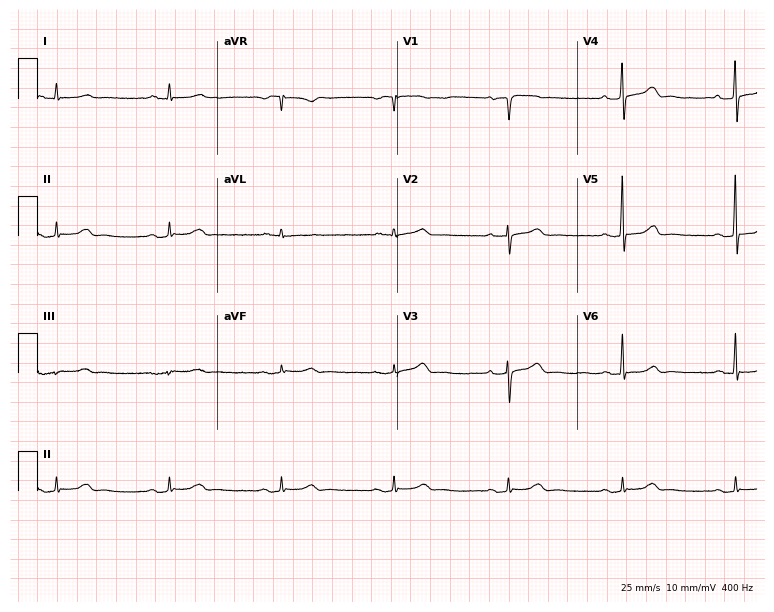
Electrocardiogram (7.3-second recording at 400 Hz), a male patient, 59 years old. Overall reading on record: normal ECG.